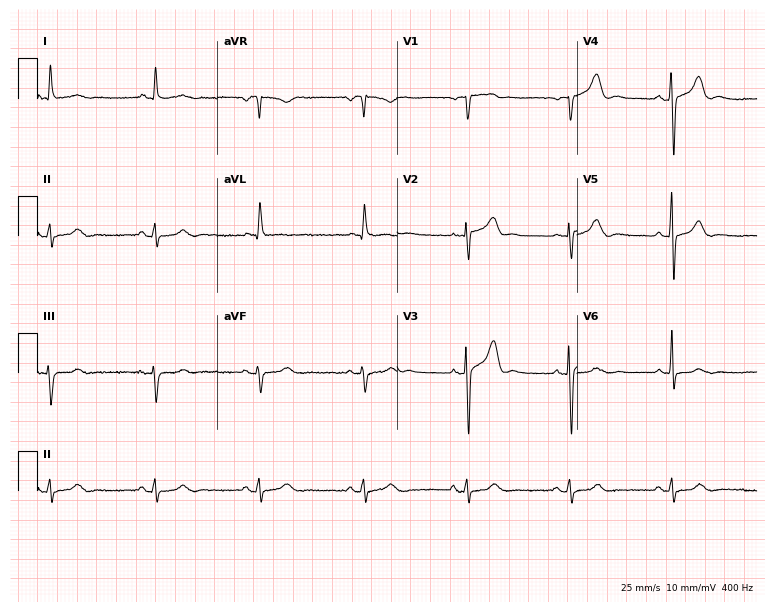
Resting 12-lead electrocardiogram (7.3-second recording at 400 Hz). Patient: a male, 78 years old. Read as a normal ECG.